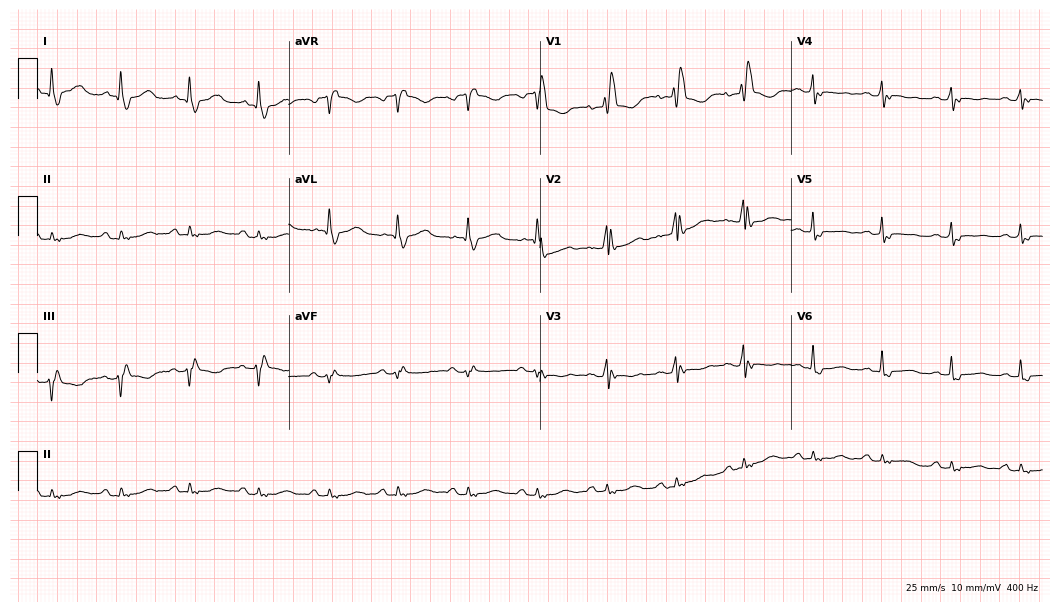
Electrocardiogram (10.2-second recording at 400 Hz), a 76-year-old woman. Interpretation includes right bundle branch block.